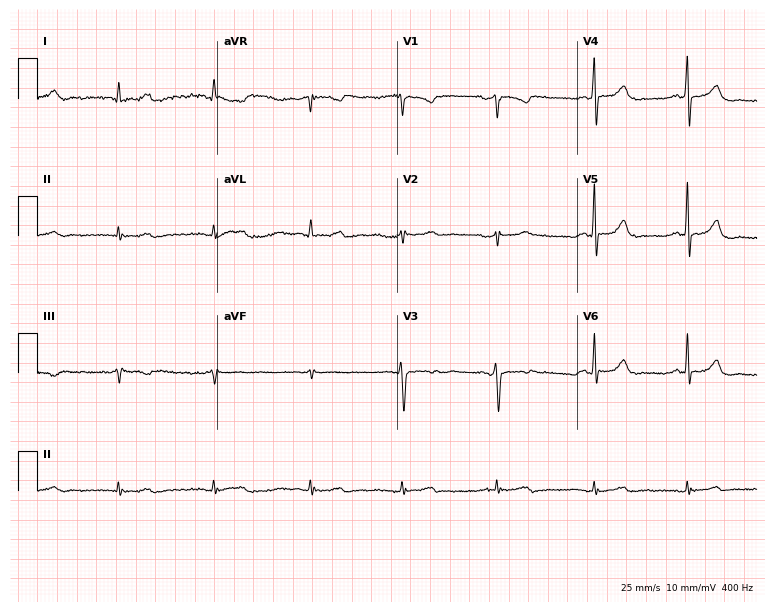
ECG (7.3-second recording at 400 Hz) — a 41-year-old female. Screened for six findings — first-degree AV block, right bundle branch block, left bundle branch block, sinus bradycardia, atrial fibrillation, sinus tachycardia — none is recorded. Findings outside these six are not listed.